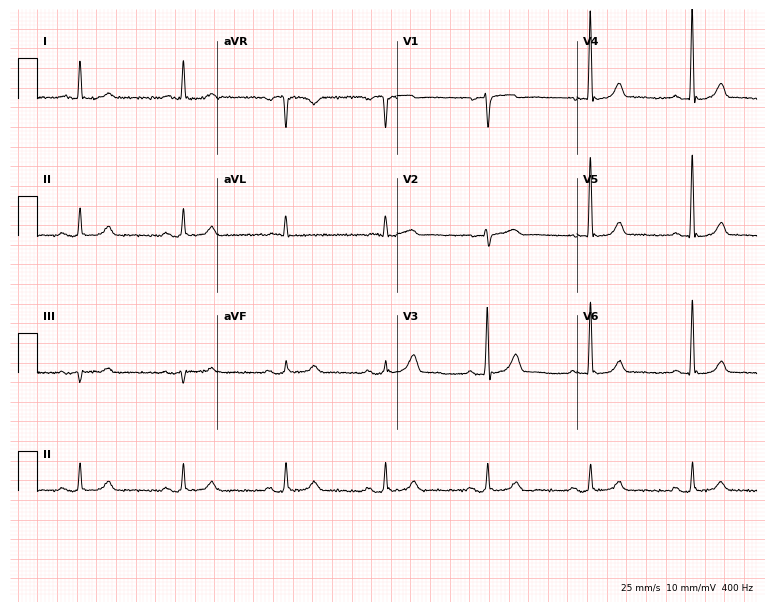
ECG (7.3-second recording at 400 Hz) — a 70-year-old male patient. Screened for six findings — first-degree AV block, right bundle branch block, left bundle branch block, sinus bradycardia, atrial fibrillation, sinus tachycardia — none is recorded. Other findings, if any, are not listed.